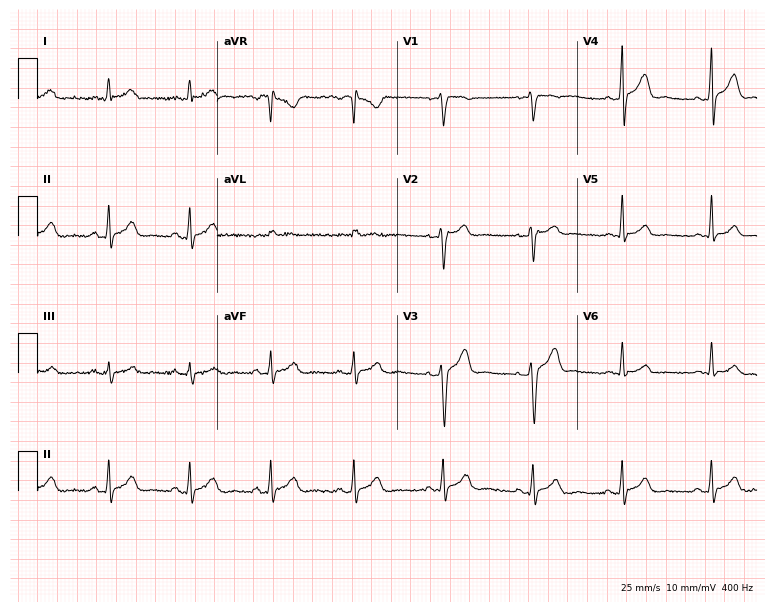
Resting 12-lead electrocardiogram (7.3-second recording at 400 Hz). Patient: a 34-year-old man. Read as a normal ECG.